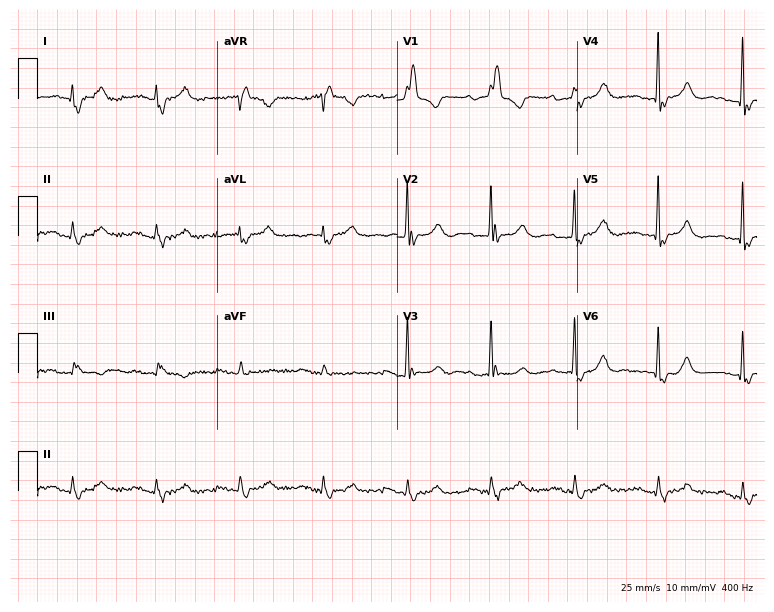
Standard 12-lead ECG recorded from a male, 75 years old (7.3-second recording at 400 Hz). None of these six findings is recorded: first-degree AV block, right bundle branch block, left bundle branch block, sinus bradycardia, atrial fibrillation, sinus tachycardia.